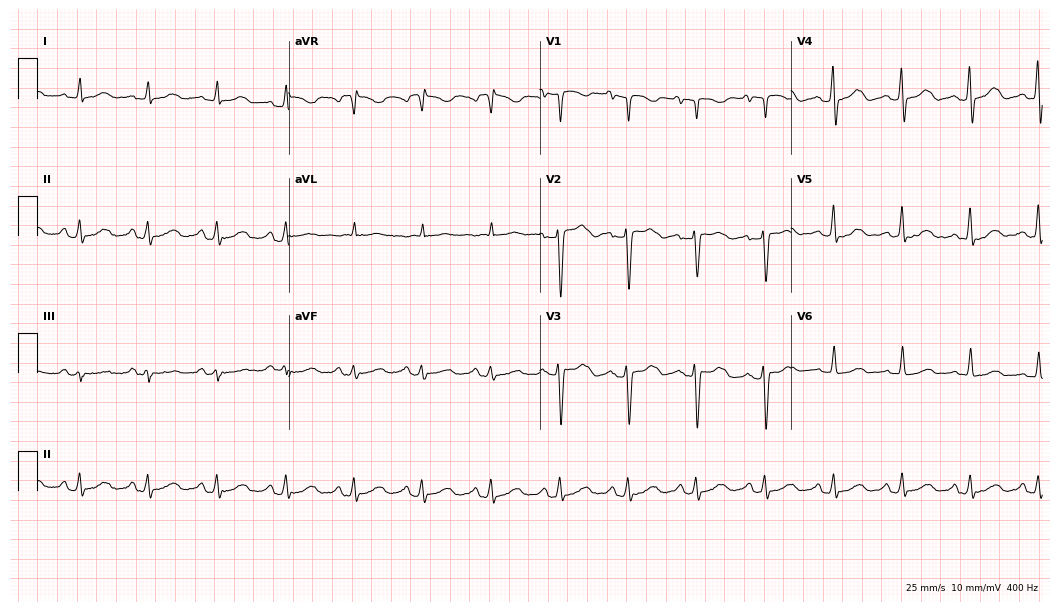
Electrocardiogram, a 22-year-old female. Of the six screened findings (first-degree AV block, right bundle branch block, left bundle branch block, sinus bradycardia, atrial fibrillation, sinus tachycardia), none is recorded. Findings outside these six are not listed.